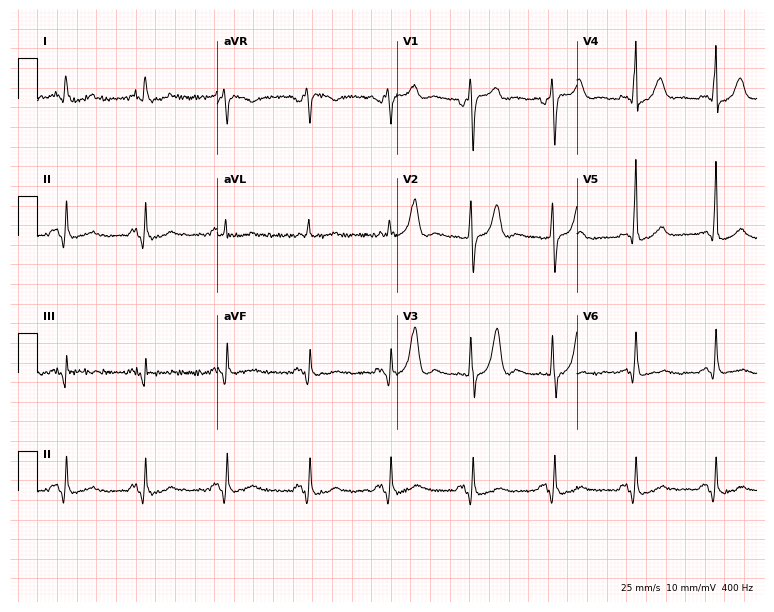
12-lead ECG (7.3-second recording at 400 Hz) from a 74-year-old man. Screened for six findings — first-degree AV block, right bundle branch block, left bundle branch block, sinus bradycardia, atrial fibrillation, sinus tachycardia — none is recorded.